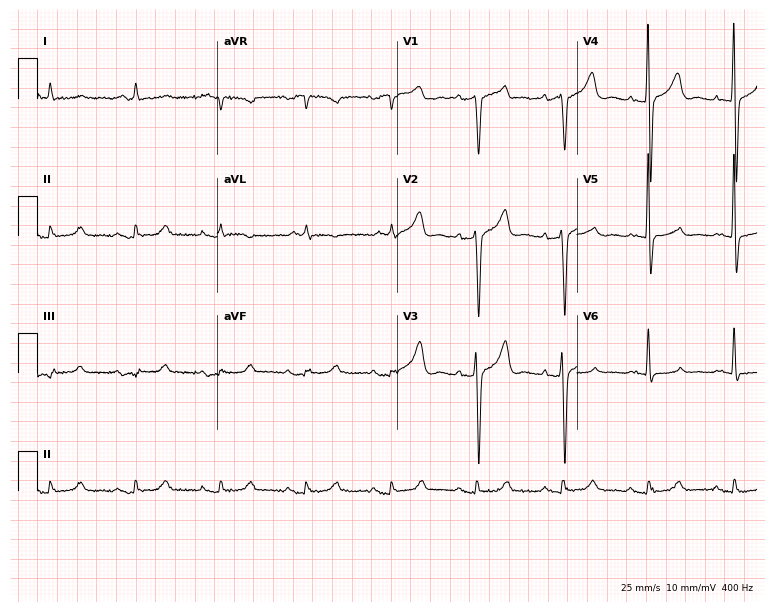
Resting 12-lead electrocardiogram. Patient: an 84-year-old male. None of these six findings is recorded: first-degree AV block, right bundle branch block, left bundle branch block, sinus bradycardia, atrial fibrillation, sinus tachycardia. Findings outside these six are not listed.